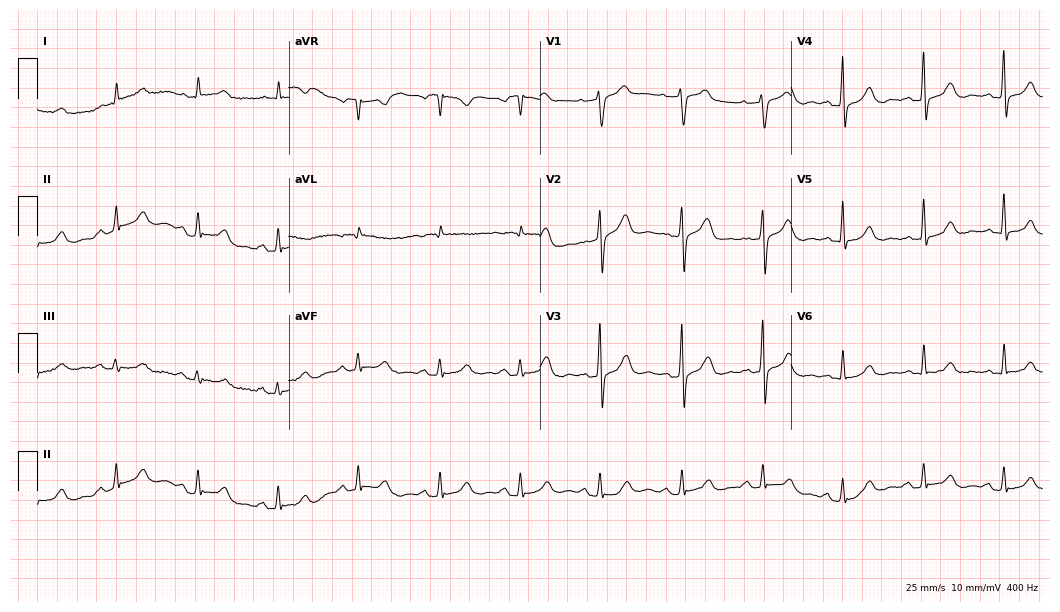
ECG — a man, 68 years old. Labelled as a normal ECG.